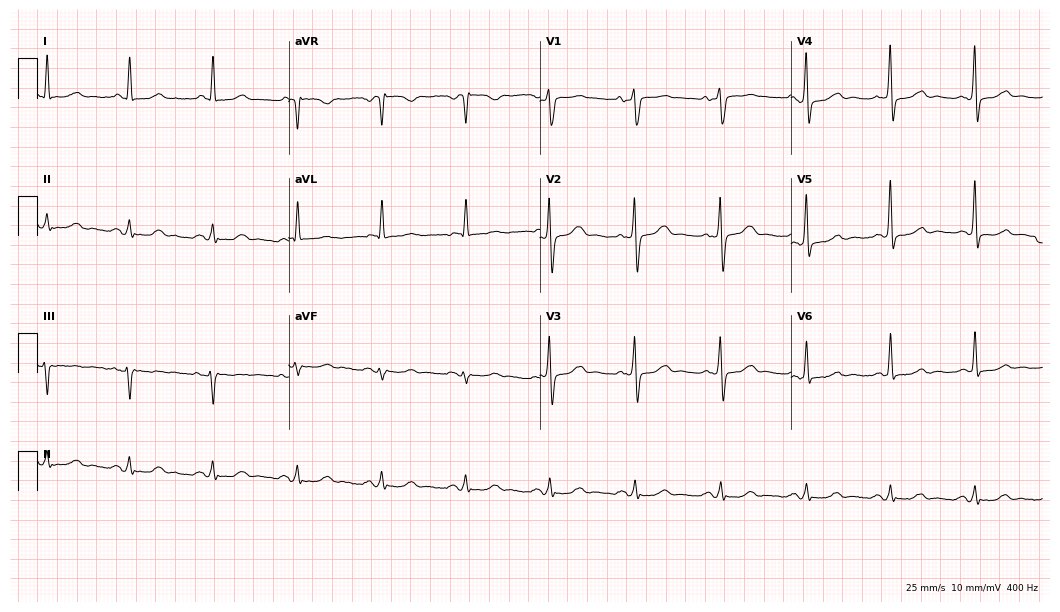
ECG — an 80-year-old male. Screened for six findings — first-degree AV block, right bundle branch block (RBBB), left bundle branch block (LBBB), sinus bradycardia, atrial fibrillation (AF), sinus tachycardia — none is recorded.